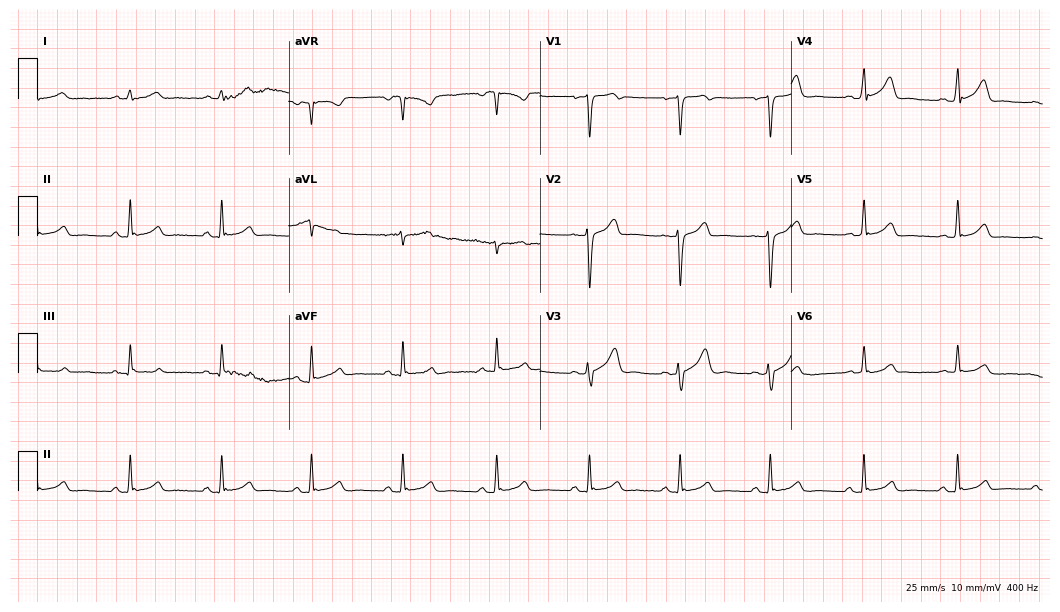
12-lead ECG from a man, 25 years old. Labelled as a normal ECG.